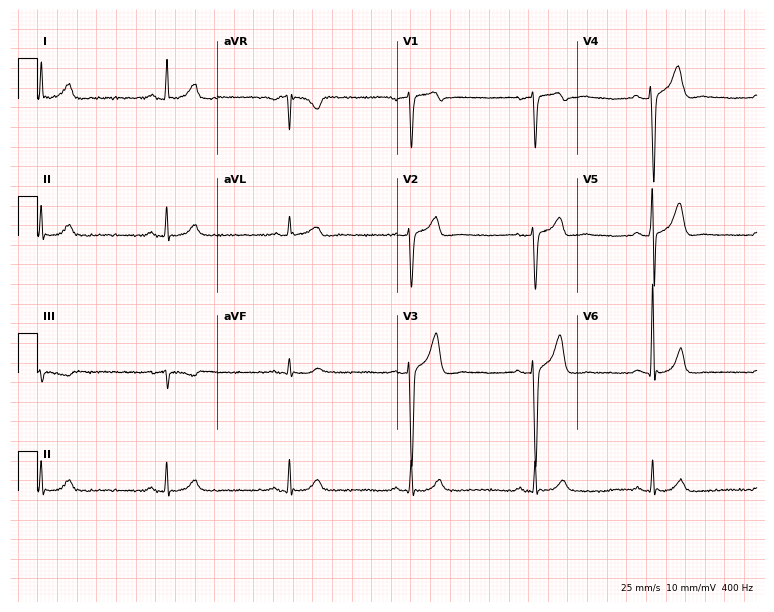
12-lead ECG (7.3-second recording at 400 Hz) from a 50-year-old man. Findings include sinus bradycardia (a sinus rate of 50 beats per minute or less).